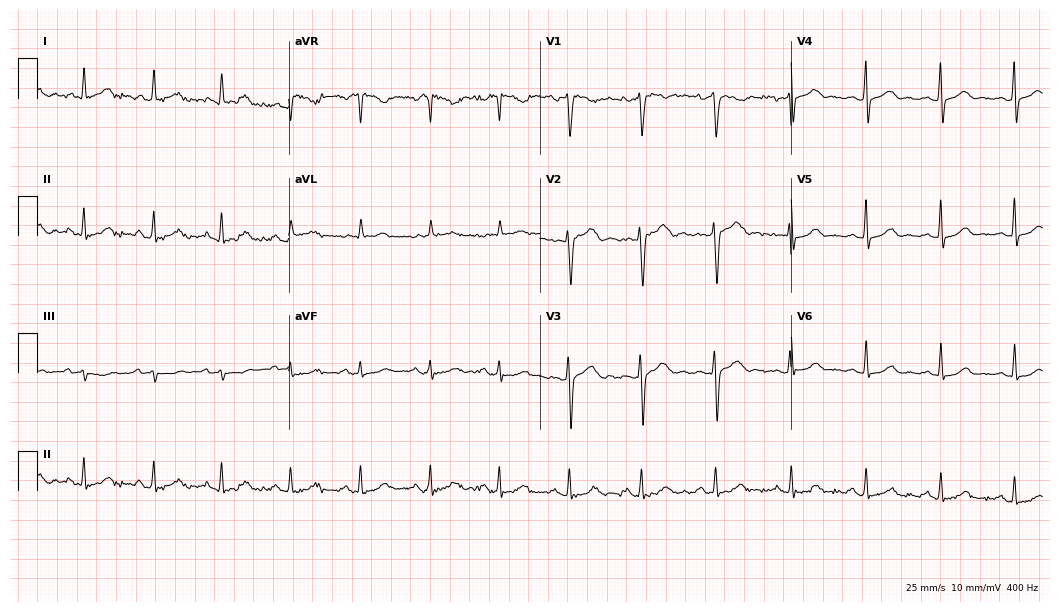
Electrocardiogram, a 31-year-old male. Of the six screened findings (first-degree AV block, right bundle branch block, left bundle branch block, sinus bradycardia, atrial fibrillation, sinus tachycardia), none is recorded.